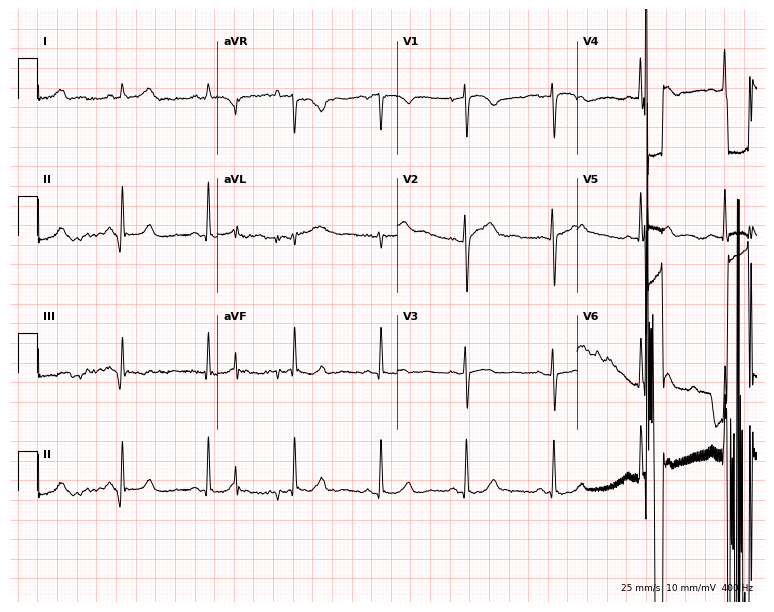
ECG (7.3-second recording at 400 Hz) — a female, 46 years old. Screened for six findings — first-degree AV block, right bundle branch block, left bundle branch block, sinus bradycardia, atrial fibrillation, sinus tachycardia — none is recorded.